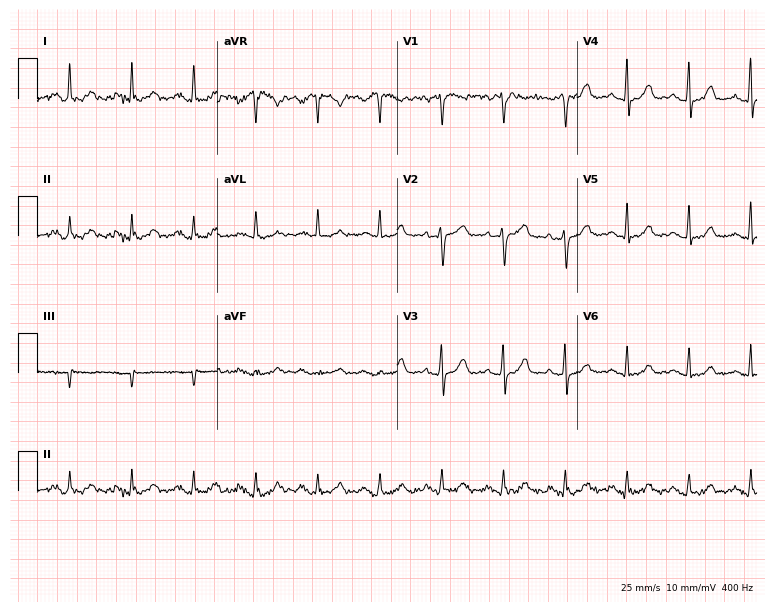
Standard 12-lead ECG recorded from a 63-year-old female (7.3-second recording at 400 Hz). None of these six findings is recorded: first-degree AV block, right bundle branch block, left bundle branch block, sinus bradycardia, atrial fibrillation, sinus tachycardia.